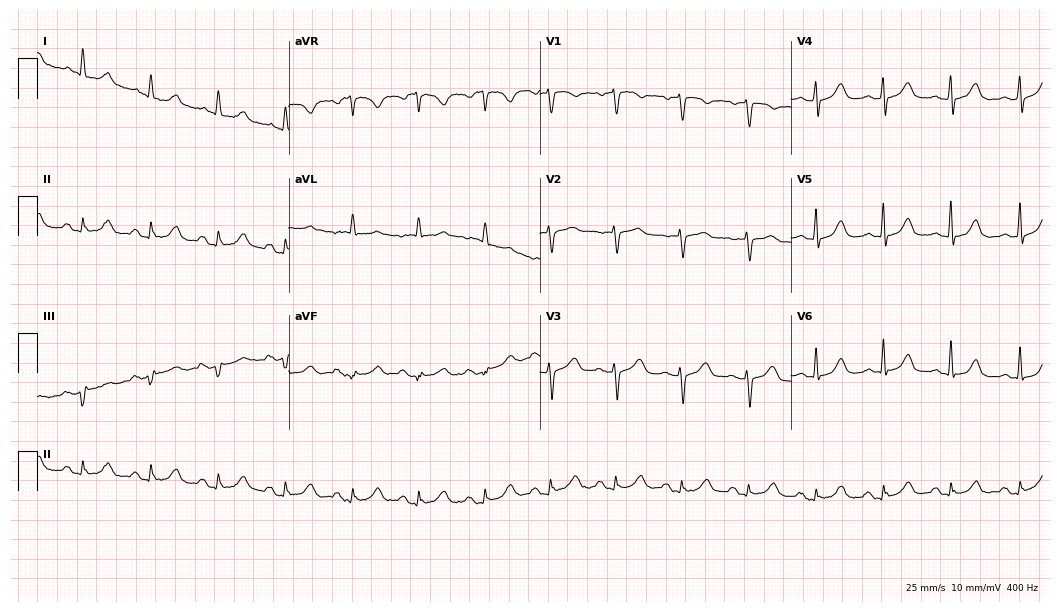
ECG — a female patient, 71 years old. Labelled as a normal ECG.